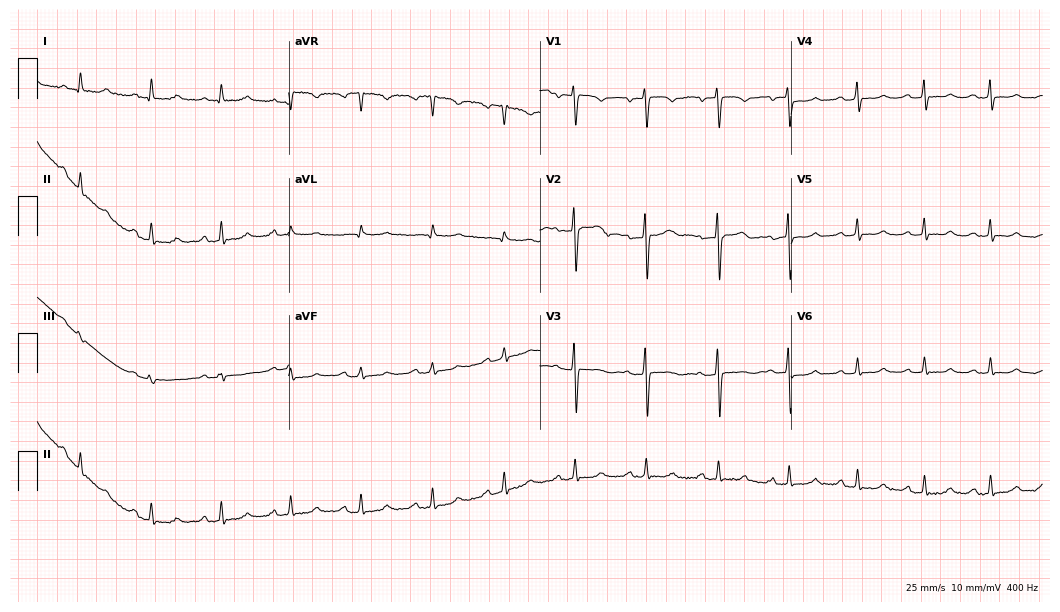
12-lead ECG from a 53-year-old woman (10.2-second recording at 400 Hz). Recorded interpretation: within normal limits.